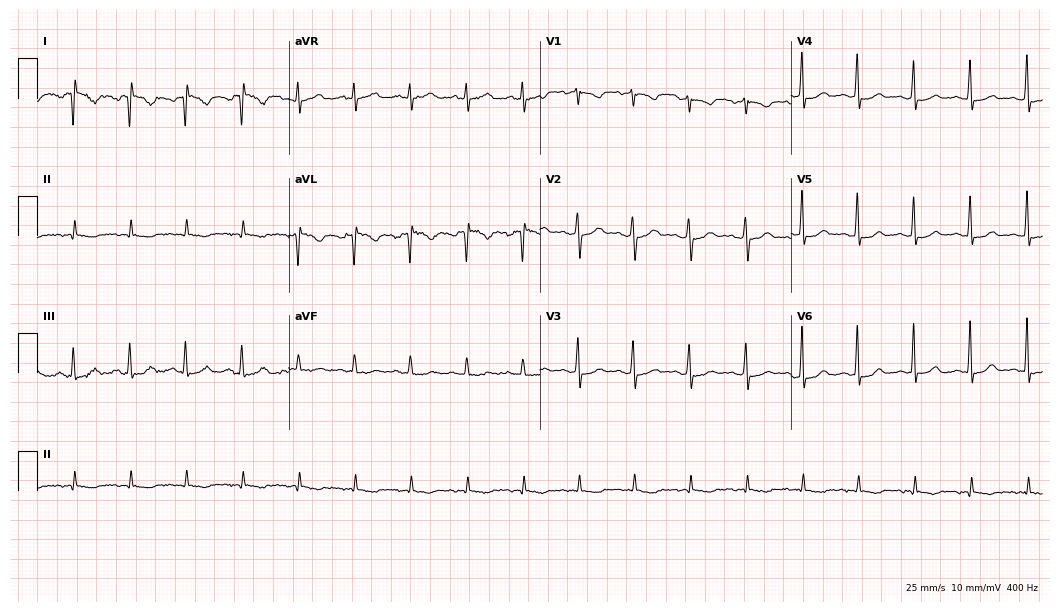
ECG — a 44-year-old female patient. Screened for six findings — first-degree AV block, right bundle branch block (RBBB), left bundle branch block (LBBB), sinus bradycardia, atrial fibrillation (AF), sinus tachycardia — none is recorded. Other findings, if any, are not listed.